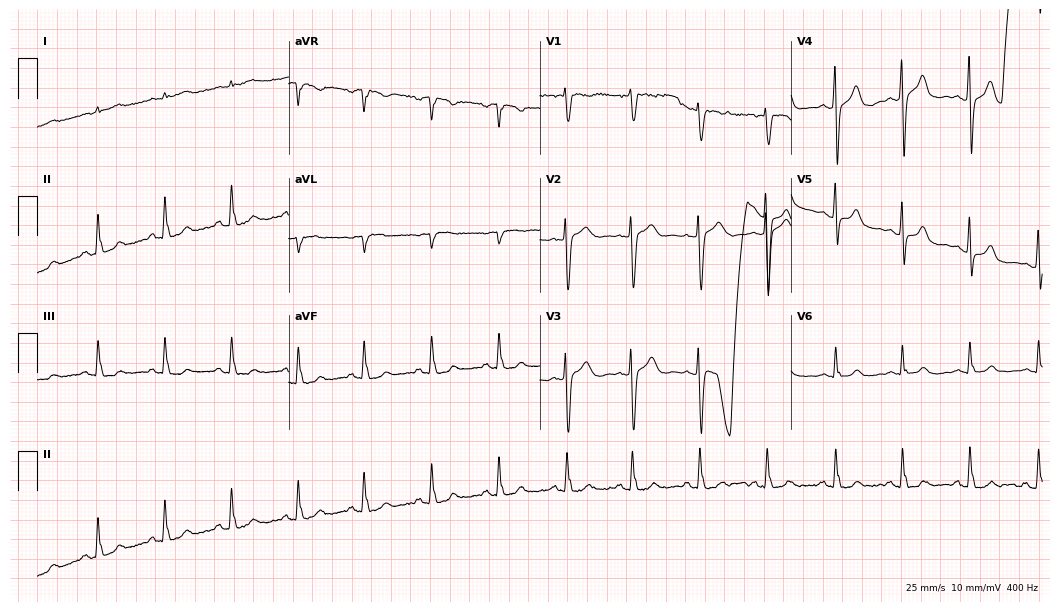
12-lead ECG from a male patient, 67 years old (10.2-second recording at 400 Hz). No first-degree AV block, right bundle branch block, left bundle branch block, sinus bradycardia, atrial fibrillation or sinus tachycardia recorded for this tracing. Only these six findings were labelled.